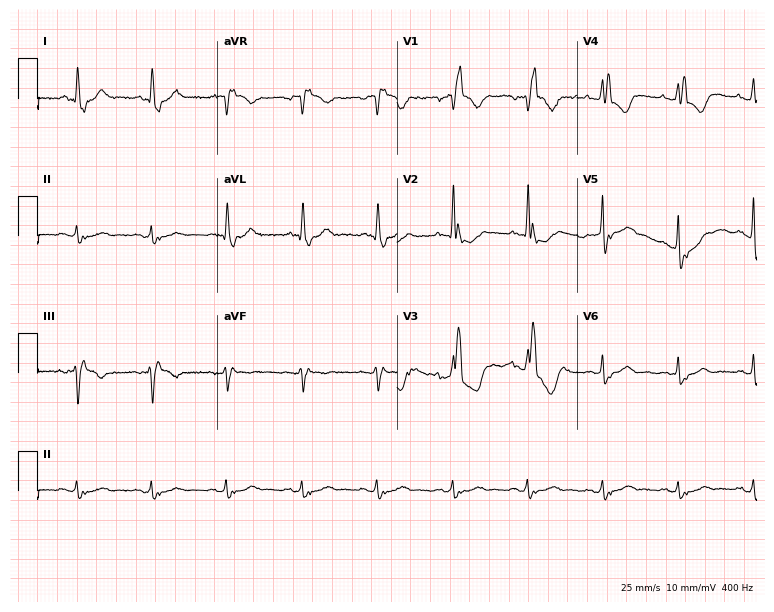
Electrocardiogram, a female patient, 76 years old. Interpretation includes right bundle branch block.